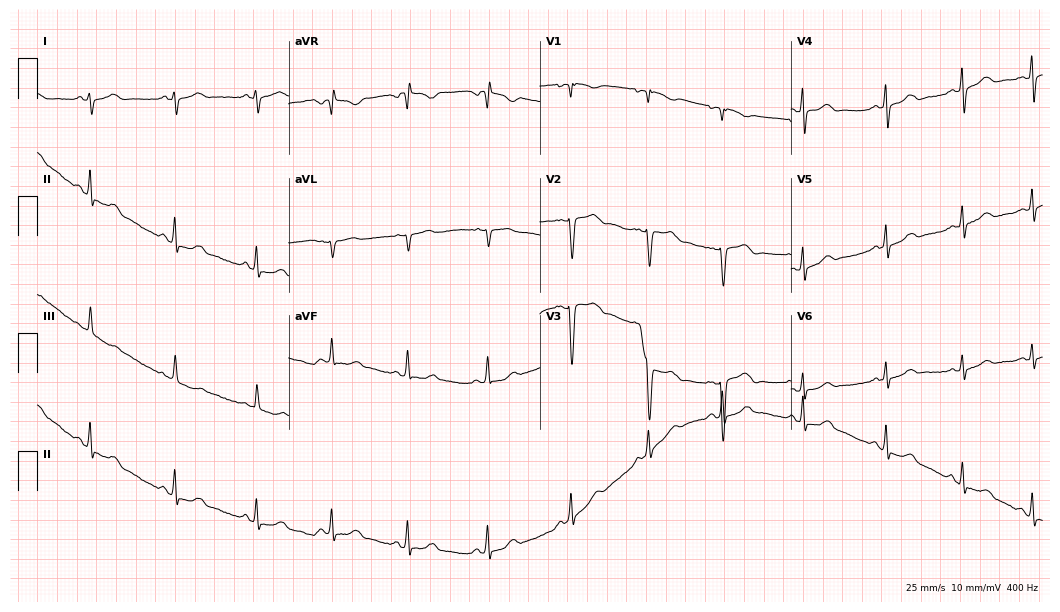
Electrocardiogram, a woman, 26 years old. Of the six screened findings (first-degree AV block, right bundle branch block, left bundle branch block, sinus bradycardia, atrial fibrillation, sinus tachycardia), none is recorded.